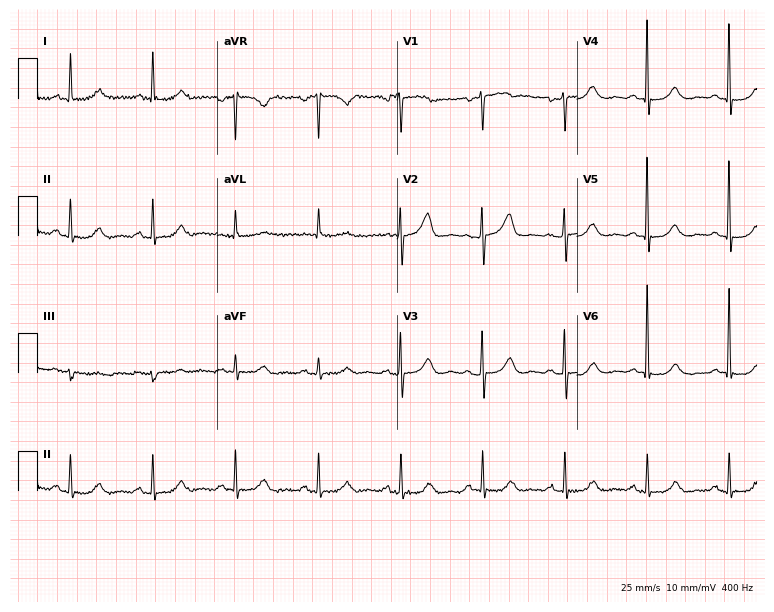
12-lead ECG from a 76-year-old female. Labelled as a normal ECG.